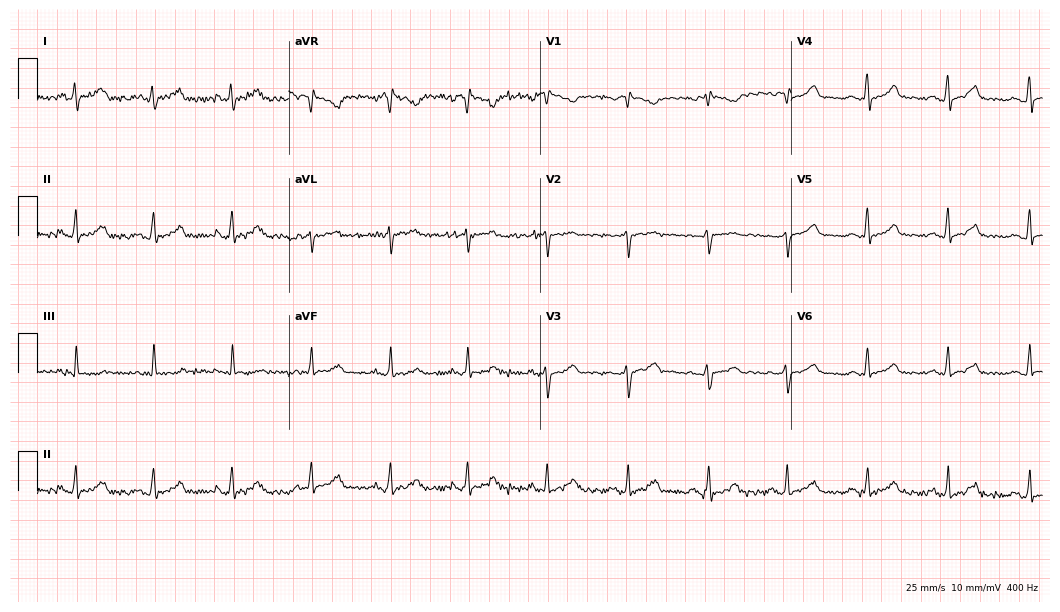
Electrocardiogram, a woman, 50 years old. Of the six screened findings (first-degree AV block, right bundle branch block, left bundle branch block, sinus bradycardia, atrial fibrillation, sinus tachycardia), none is recorded.